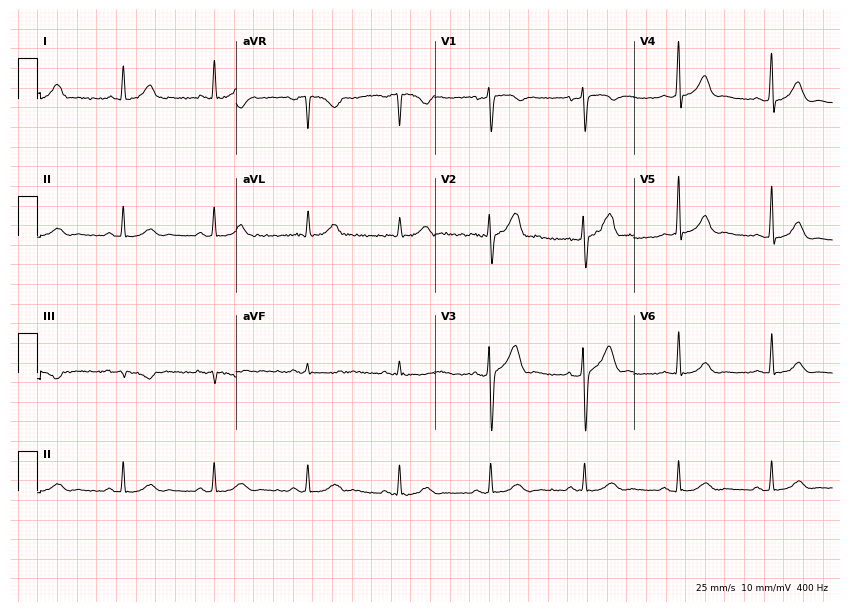
12-lead ECG from a 50-year-old male patient (8.1-second recording at 400 Hz). Recorded interpretation: within normal limits.